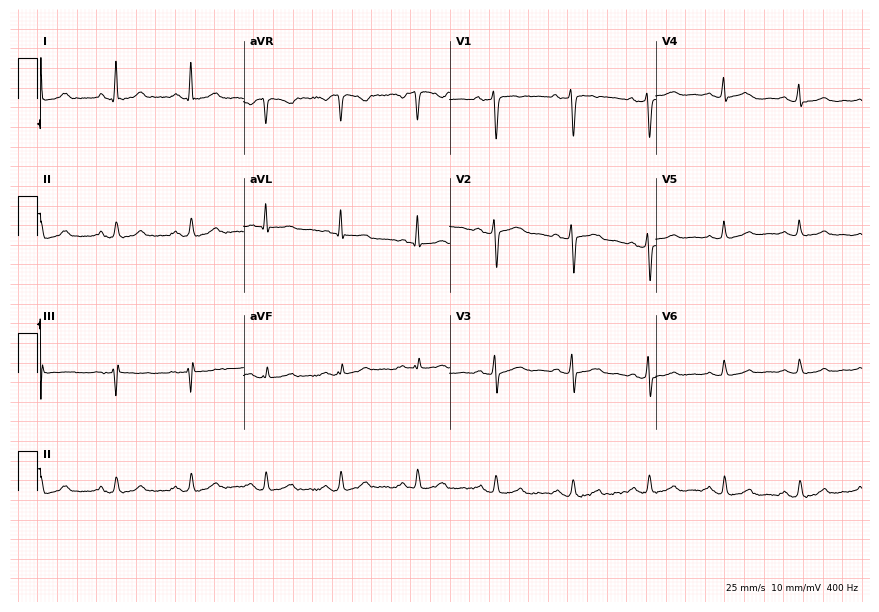
12-lead ECG from a 49-year-old woman (8.4-second recording at 400 Hz). No first-degree AV block, right bundle branch block, left bundle branch block, sinus bradycardia, atrial fibrillation or sinus tachycardia recorded for this tracing. Findings outside these six are not listed.